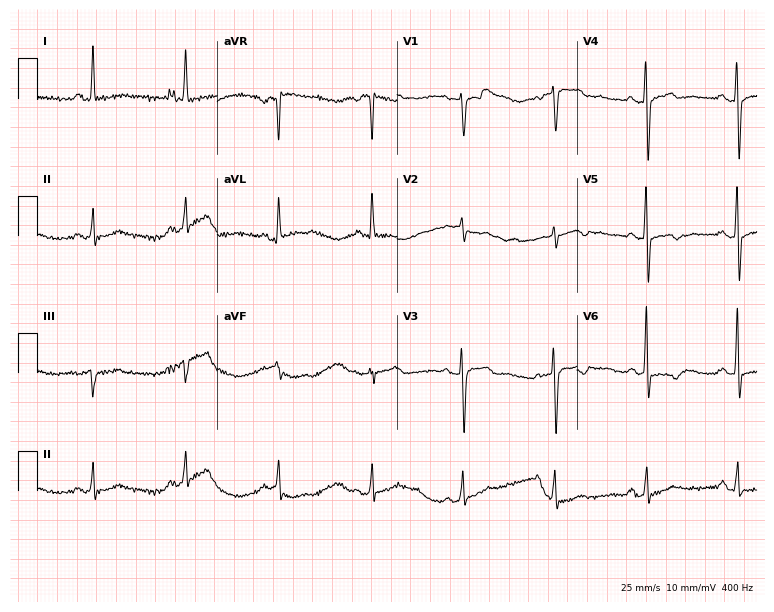
12-lead ECG (7.3-second recording at 400 Hz) from a 68-year-old woman. Screened for six findings — first-degree AV block, right bundle branch block (RBBB), left bundle branch block (LBBB), sinus bradycardia, atrial fibrillation (AF), sinus tachycardia — none is recorded.